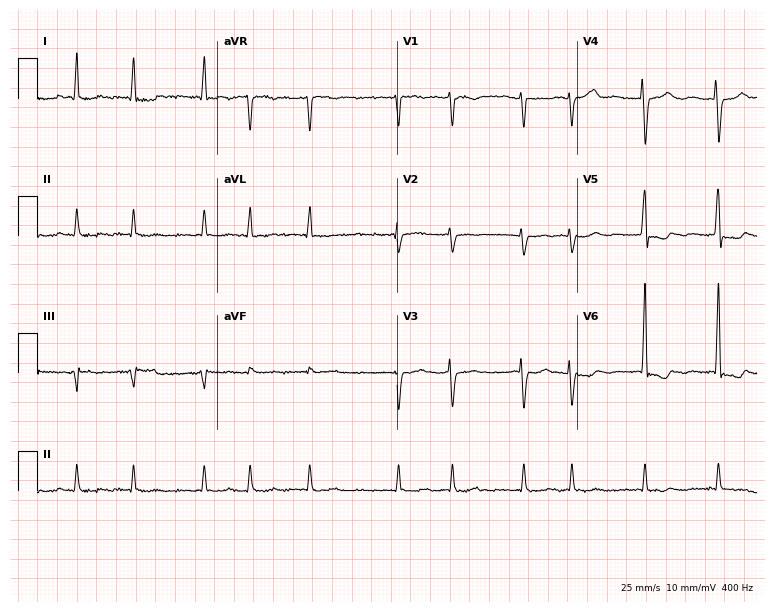
ECG (7.3-second recording at 400 Hz) — a 76-year-old female. Findings include atrial fibrillation (AF).